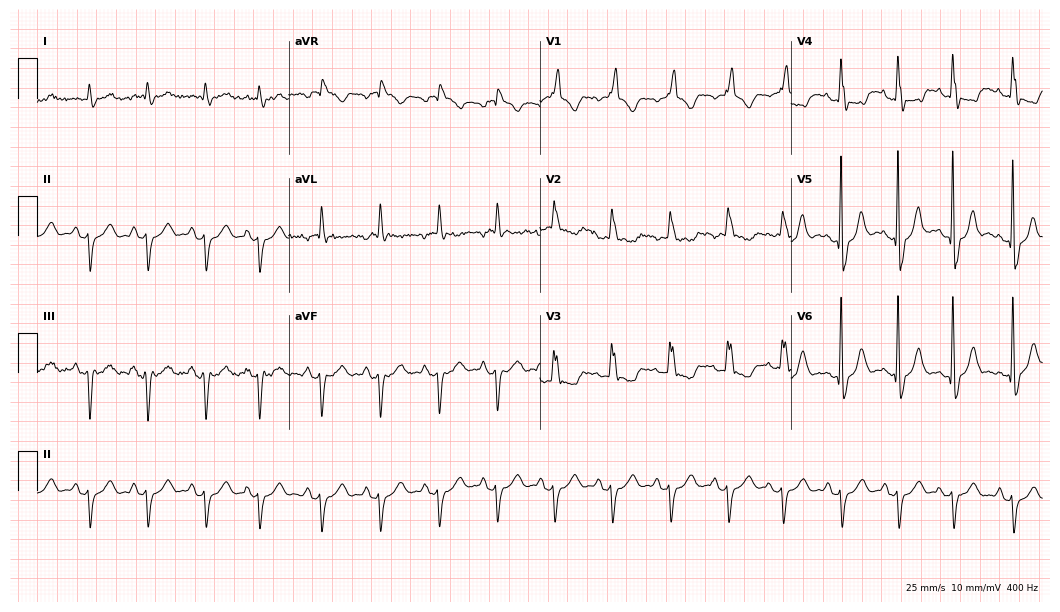
Standard 12-lead ECG recorded from a 72-year-old male (10.2-second recording at 400 Hz). The tracing shows right bundle branch block, sinus tachycardia (a sinus rate of 100 beats per minute or more).